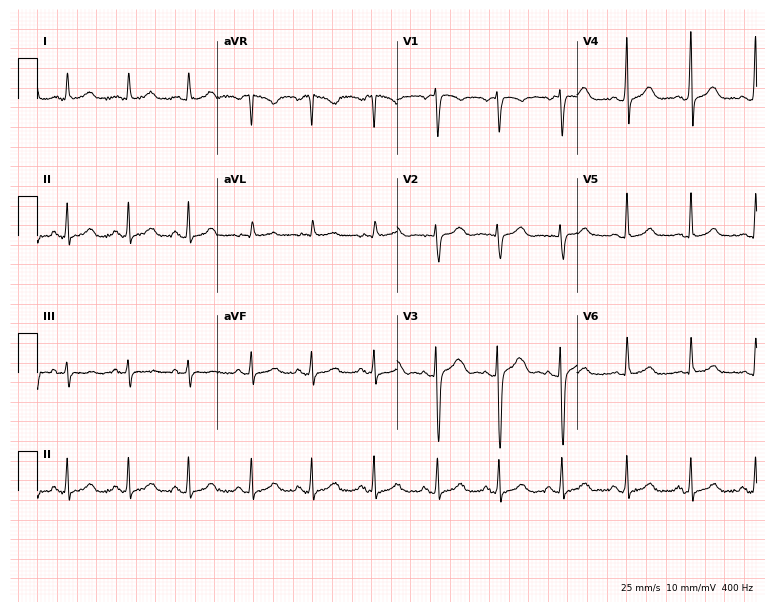
12-lead ECG (7.3-second recording at 400 Hz) from a female, 18 years old. Labelled as a normal ECG.